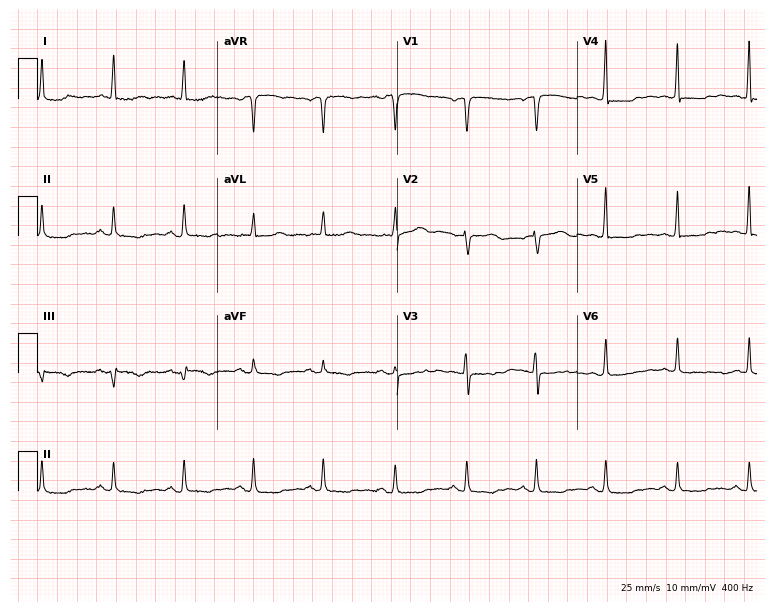
12-lead ECG (7.3-second recording at 400 Hz) from a 66-year-old woman. Screened for six findings — first-degree AV block, right bundle branch block (RBBB), left bundle branch block (LBBB), sinus bradycardia, atrial fibrillation (AF), sinus tachycardia — none is recorded.